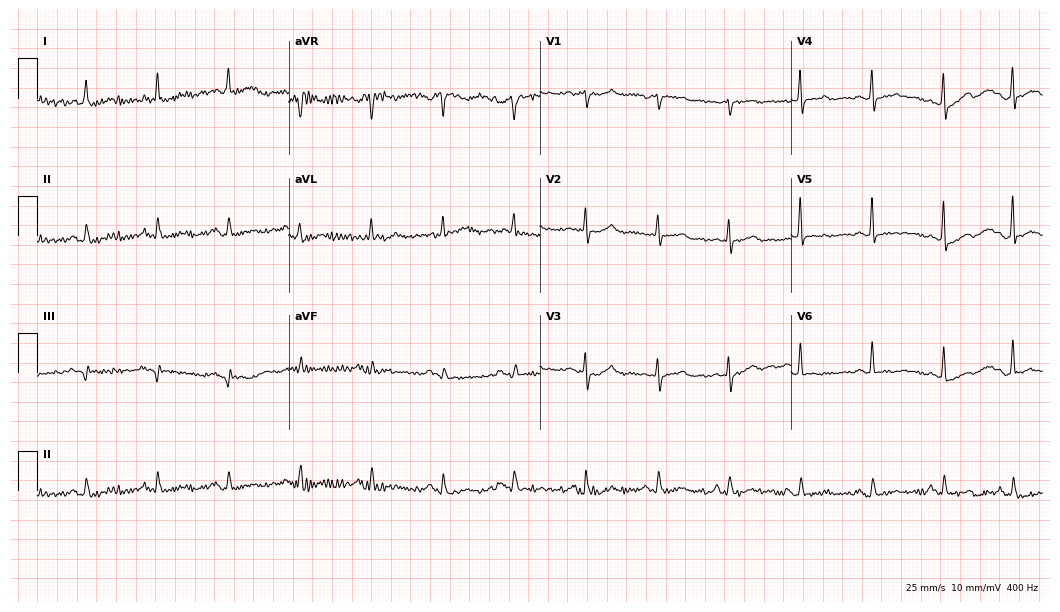
12-lead ECG from a female, 74 years old. No first-degree AV block, right bundle branch block, left bundle branch block, sinus bradycardia, atrial fibrillation or sinus tachycardia recorded for this tracing. Other findings, if any, are not listed.